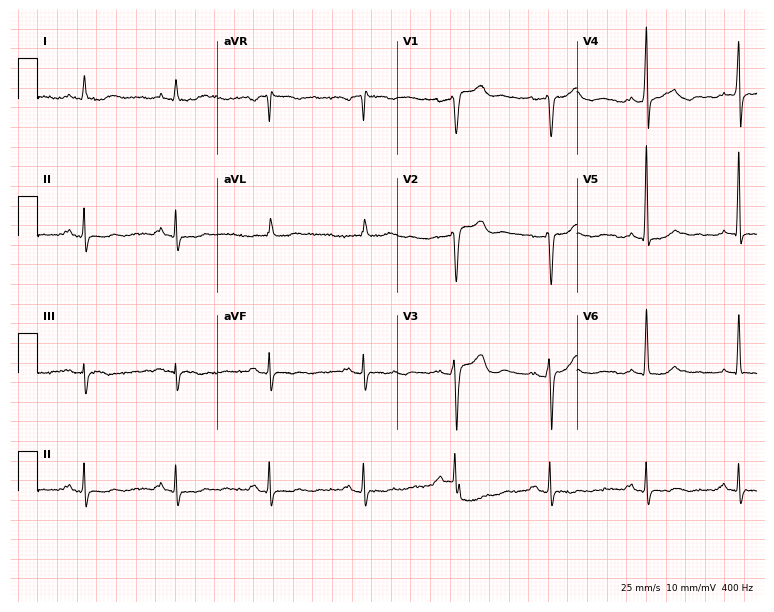
Resting 12-lead electrocardiogram (7.3-second recording at 400 Hz). Patient: a 66-year-old male. Read as a normal ECG.